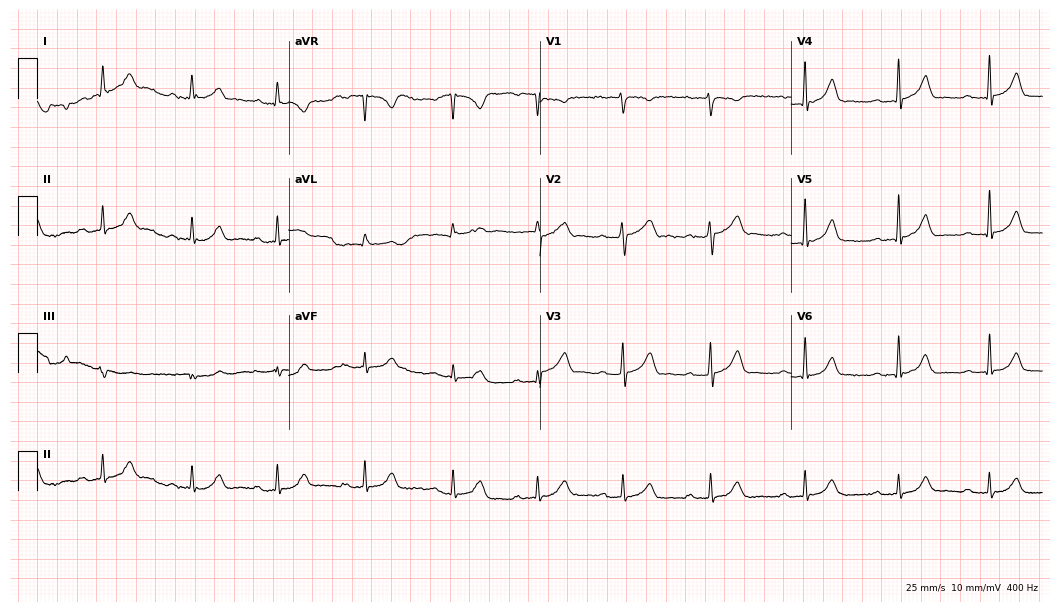
Resting 12-lead electrocardiogram (10.2-second recording at 400 Hz). Patient: a man, 53 years old. None of these six findings is recorded: first-degree AV block, right bundle branch block, left bundle branch block, sinus bradycardia, atrial fibrillation, sinus tachycardia. Other findings, if any, are not listed.